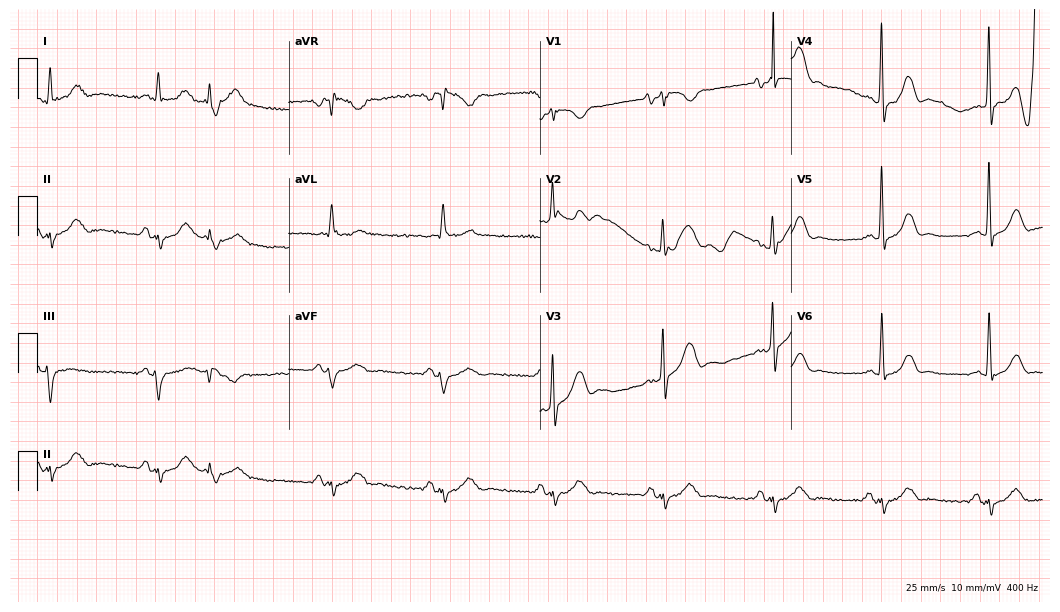
12-lead ECG from a male patient, 63 years old (10.2-second recording at 400 Hz). No first-degree AV block, right bundle branch block (RBBB), left bundle branch block (LBBB), sinus bradycardia, atrial fibrillation (AF) or sinus tachycardia recorded for this tracing. Only these six findings were labelled.